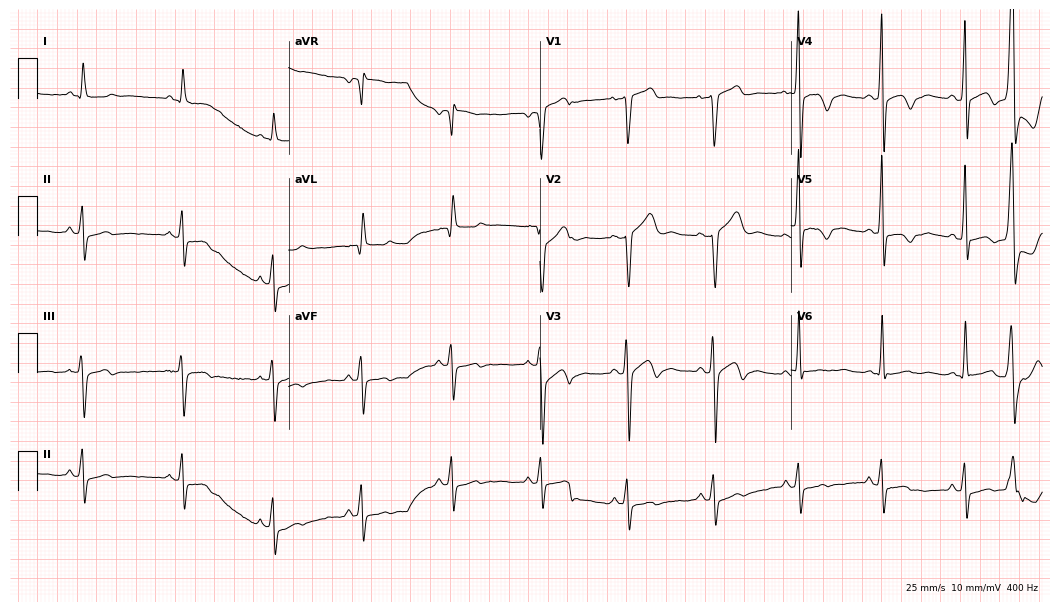
Electrocardiogram, a male, 72 years old. Of the six screened findings (first-degree AV block, right bundle branch block, left bundle branch block, sinus bradycardia, atrial fibrillation, sinus tachycardia), none is recorded. Only these six findings were labelled.